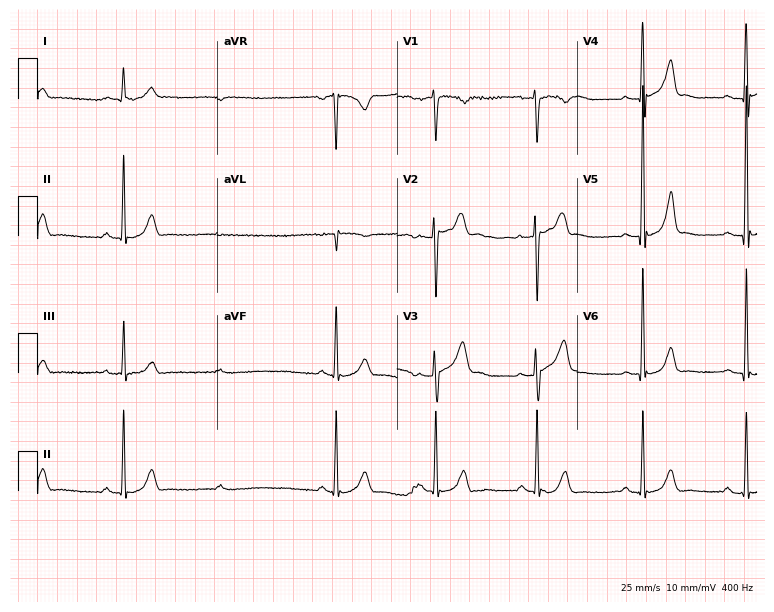
Electrocardiogram, a male patient, 44 years old. Of the six screened findings (first-degree AV block, right bundle branch block (RBBB), left bundle branch block (LBBB), sinus bradycardia, atrial fibrillation (AF), sinus tachycardia), none is recorded. Other findings, if any, are not listed.